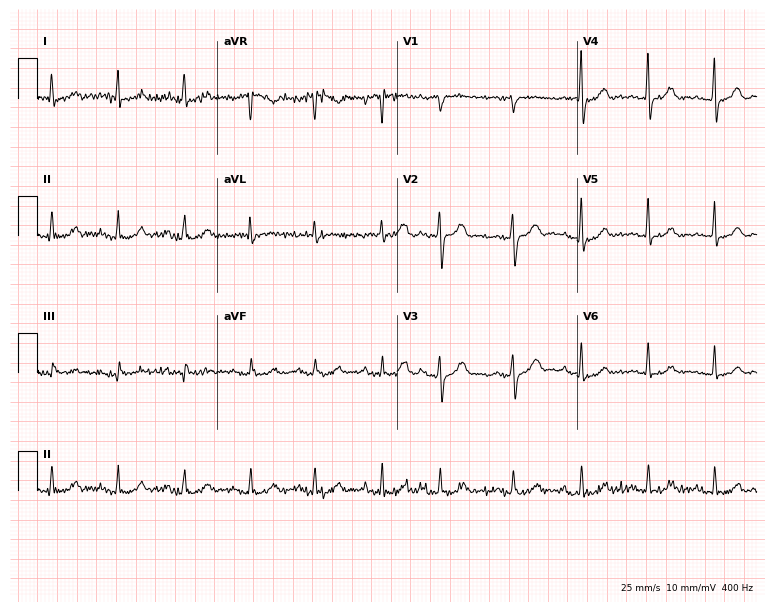
12-lead ECG from an 84-year-old male patient. Screened for six findings — first-degree AV block, right bundle branch block (RBBB), left bundle branch block (LBBB), sinus bradycardia, atrial fibrillation (AF), sinus tachycardia — none is recorded.